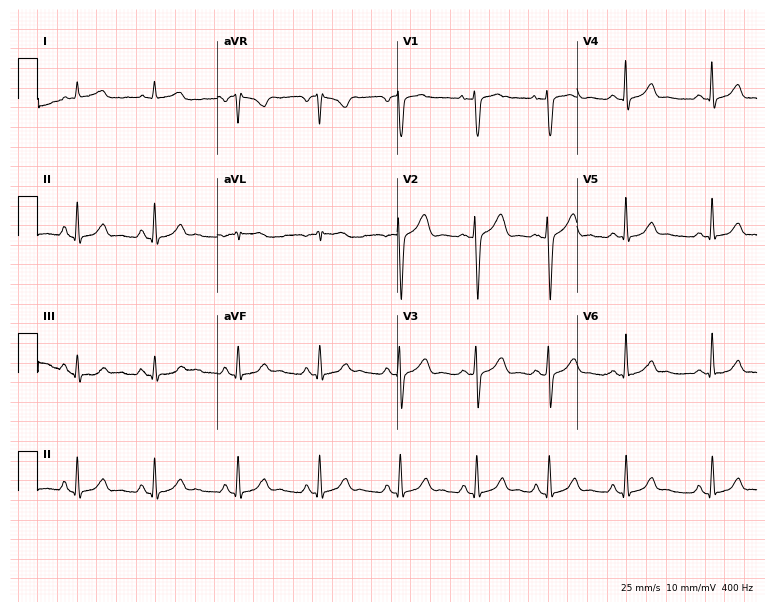
Resting 12-lead electrocardiogram (7.3-second recording at 400 Hz). Patient: a 31-year-old woman. Read as a normal ECG.